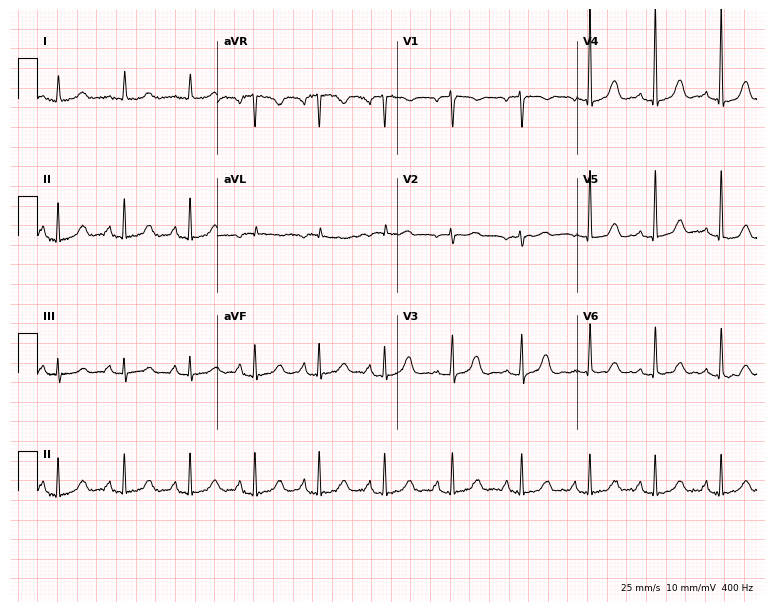
ECG (7.3-second recording at 400 Hz) — a 72-year-old female patient. Labelled as a normal ECG.